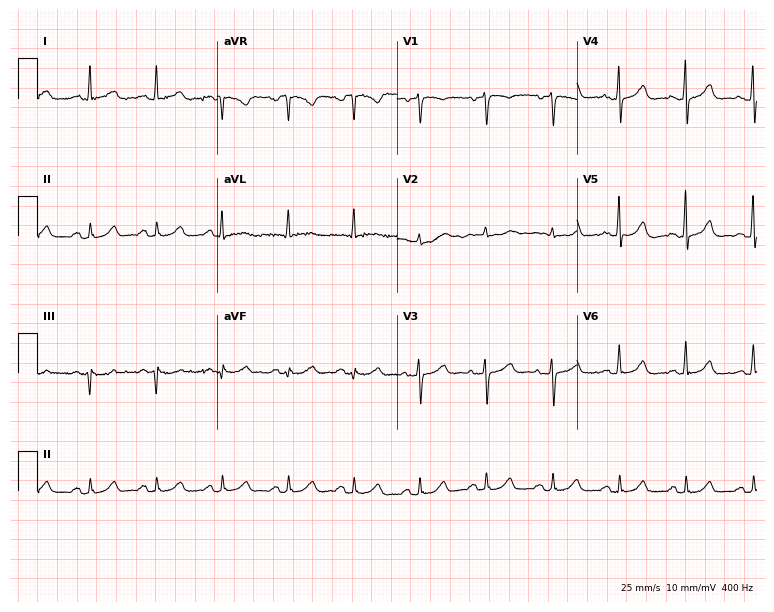
Standard 12-lead ECG recorded from a woman, 76 years old. Read as a normal ECG.